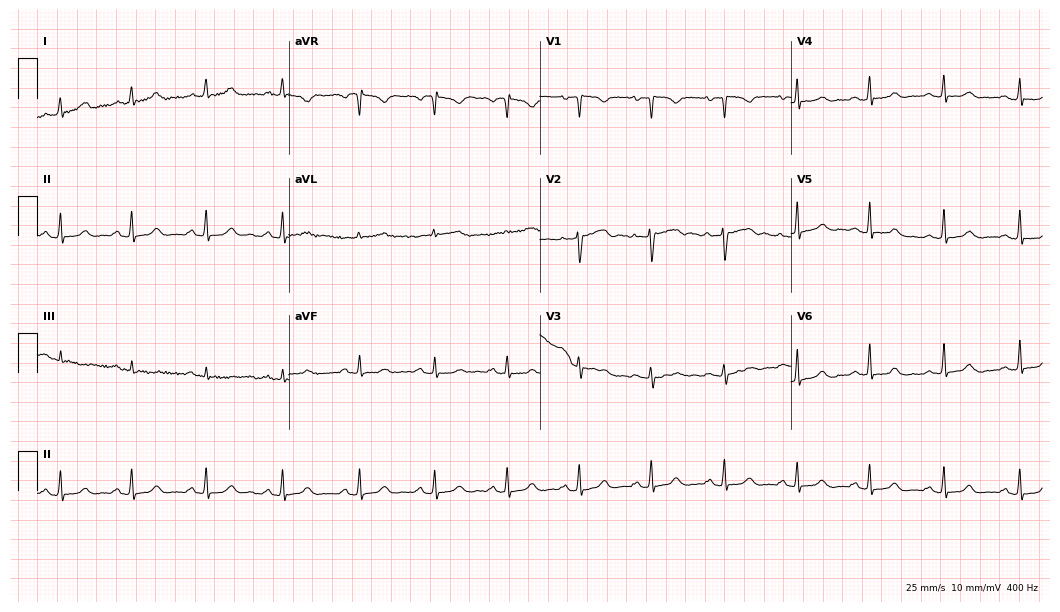
Resting 12-lead electrocardiogram. Patient: a 38-year-old female. Read as a normal ECG.